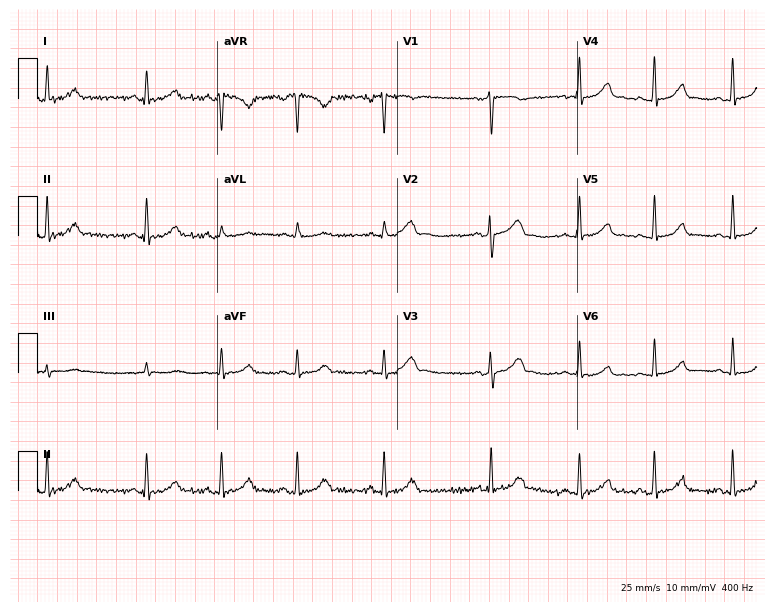
Electrocardiogram, a 21-year-old female. Overall reading on record: normal ECG.